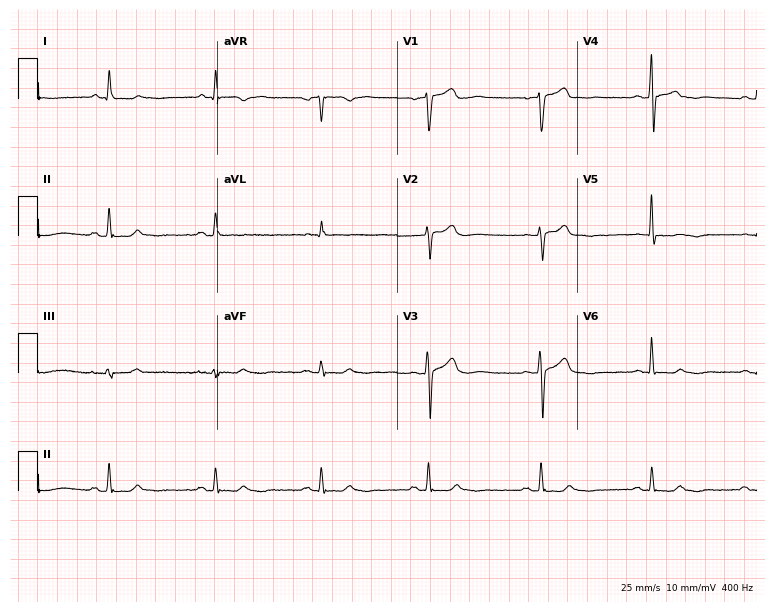
12-lead ECG from a 69-year-old male patient (7.3-second recording at 400 Hz). No first-degree AV block, right bundle branch block, left bundle branch block, sinus bradycardia, atrial fibrillation or sinus tachycardia recorded for this tracing.